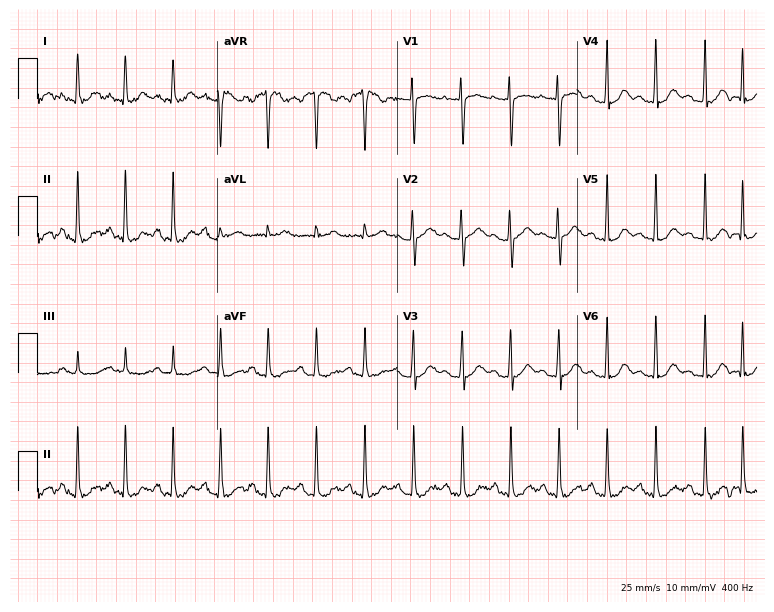
12-lead ECG from a 40-year-old female patient (7.3-second recording at 400 Hz). Shows sinus tachycardia (a sinus rate of 100 beats per minute or more).